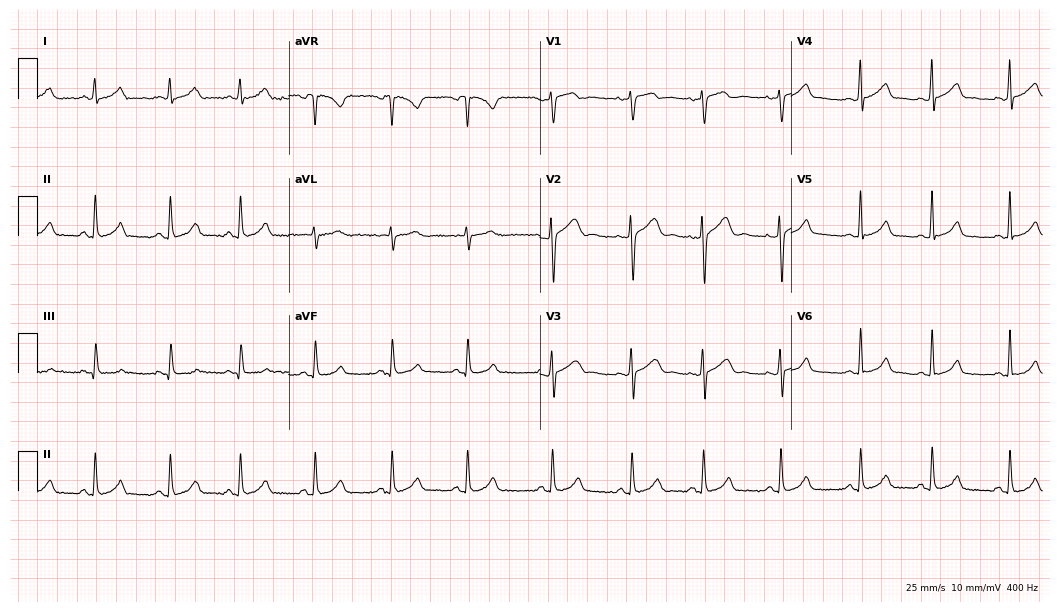
Electrocardiogram (10.2-second recording at 400 Hz), a woman, 17 years old. Overall reading on record: normal ECG.